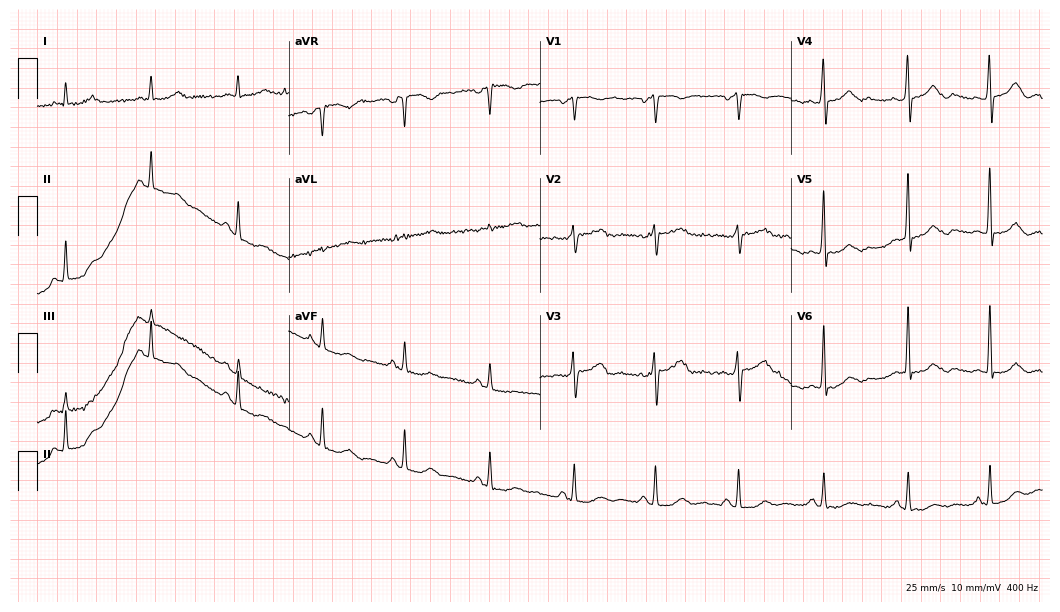
ECG — a man, 78 years old. Labelled as a normal ECG.